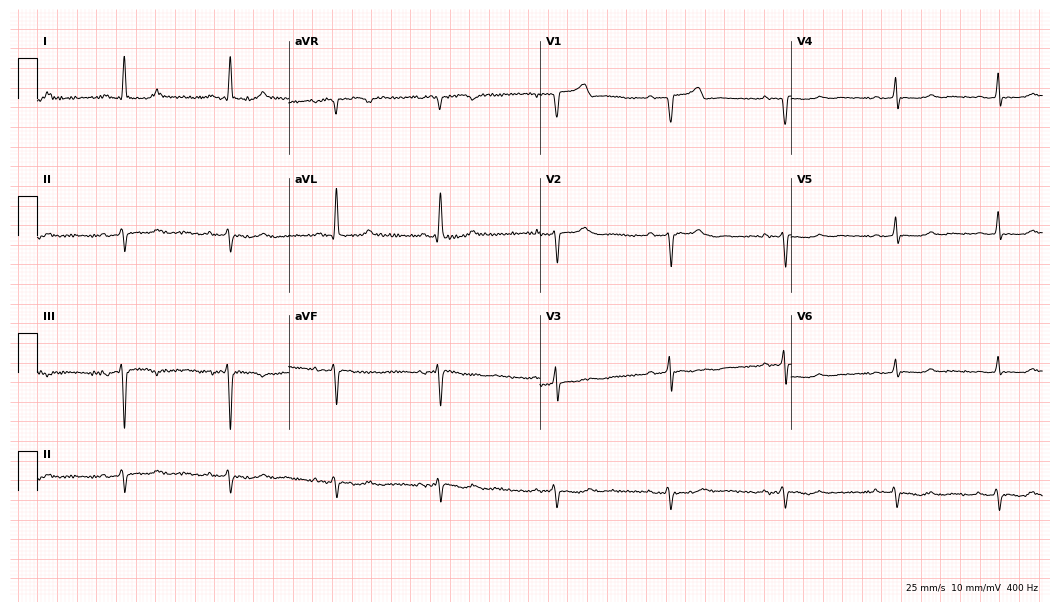
Electrocardiogram (10.2-second recording at 400 Hz), a female patient, 63 years old. Of the six screened findings (first-degree AV block, right bundle branch block, left bundle branch block, sinus bradycardia, atrial fibrillation, sinus tachycardia), none is recorded.